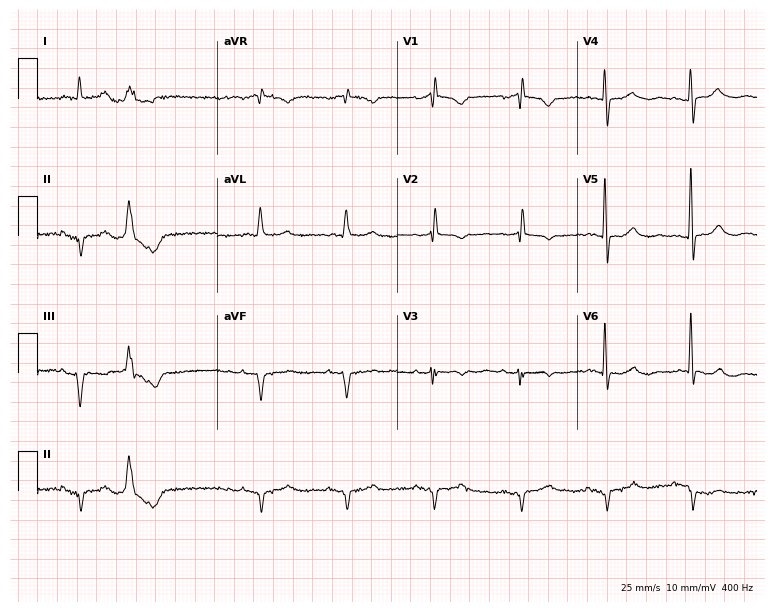
ECG — an 85-year-old female. Screened for six findings — first-degree AV block, right bundle branch block (RBBB), left bundle branch block (LBBB), sinus bradycardia, atrial fibrillation (AF), sinus tachycardia — none is recorded.